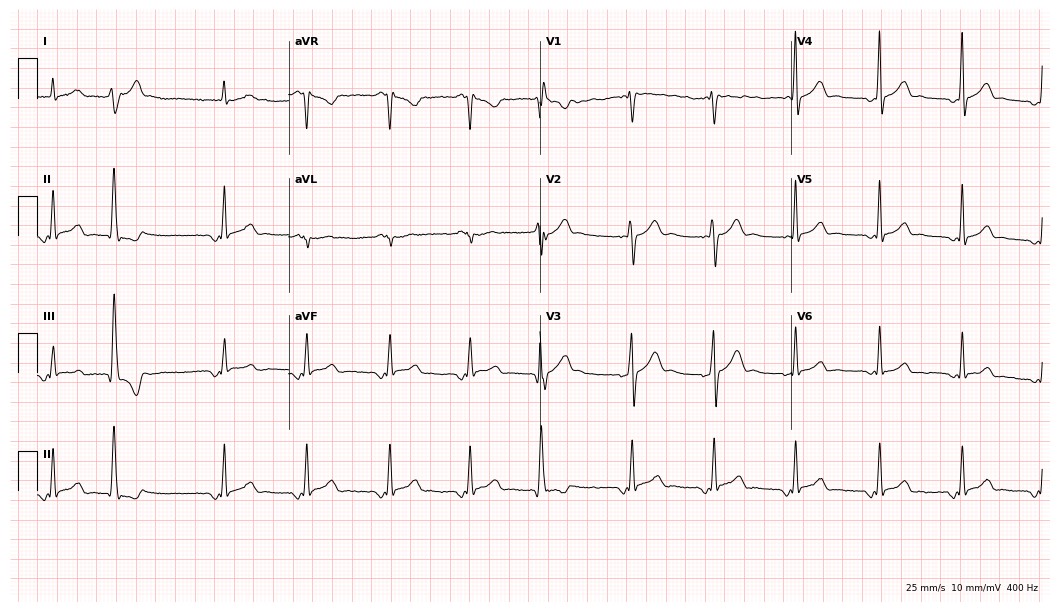
Resting 12-lead electrocardiogram (10.2-second recording at 400 Hz). Patient: a male, 25 years old. None of these six findings is recorded: first-degree AV block, right bundle branch block, left bundle branch block, sinus bradycardia, atrial fibrillation, sinus tachycardia. Only these six findings were labelled.